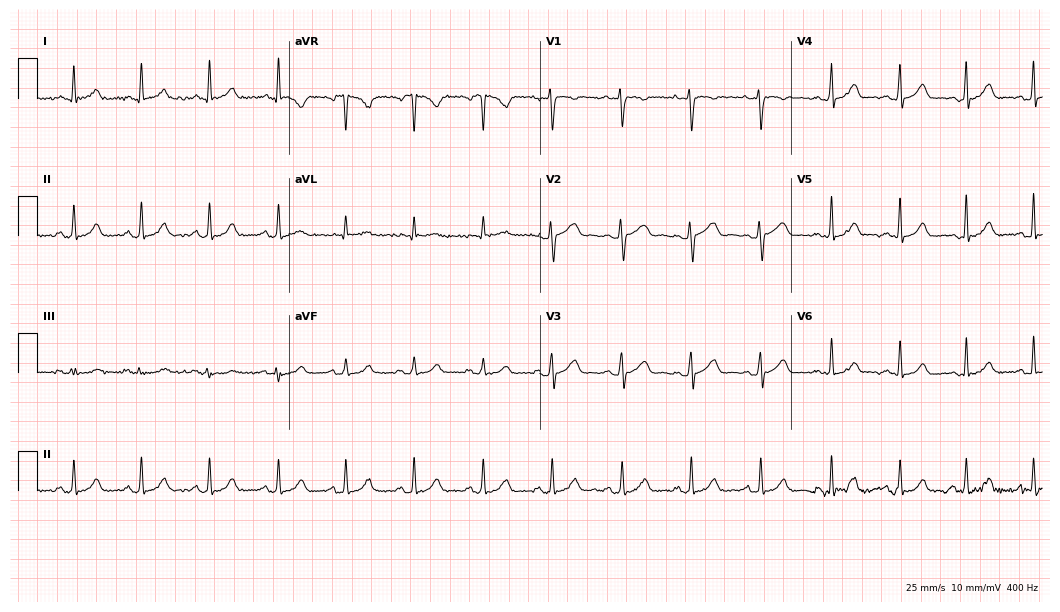
Electrocardiogram, a woman, 32 years old. Overall reading on record: normal ECG.